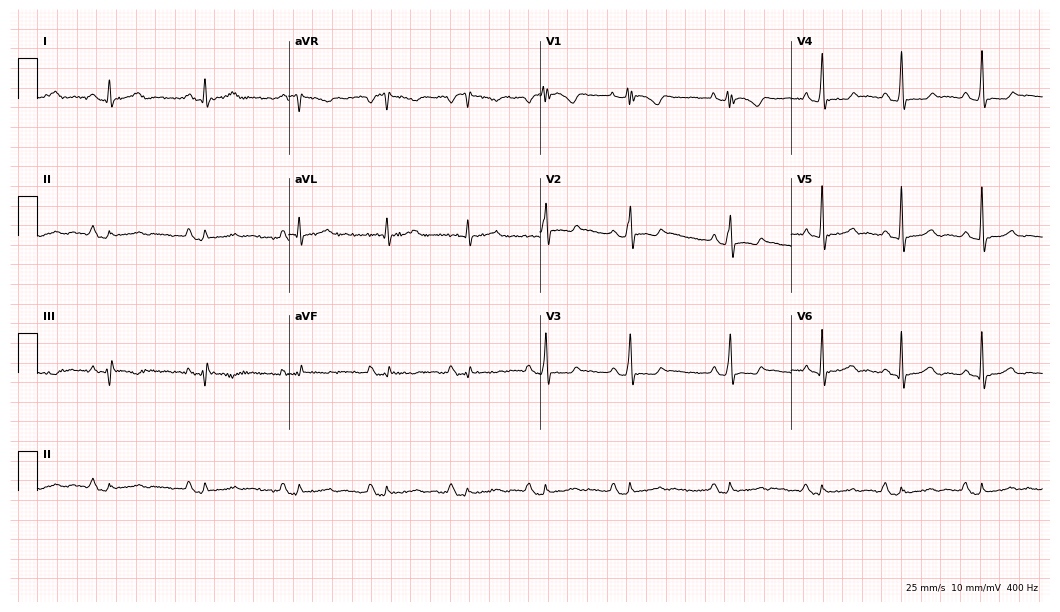
12-lead ECG from a woman, 23 years old. No first-degree AV block, right bundle branch block, left bundle branch block, sinus bradycardia, atrial fibrillation or sinus tachycardia recorded for this tracing.